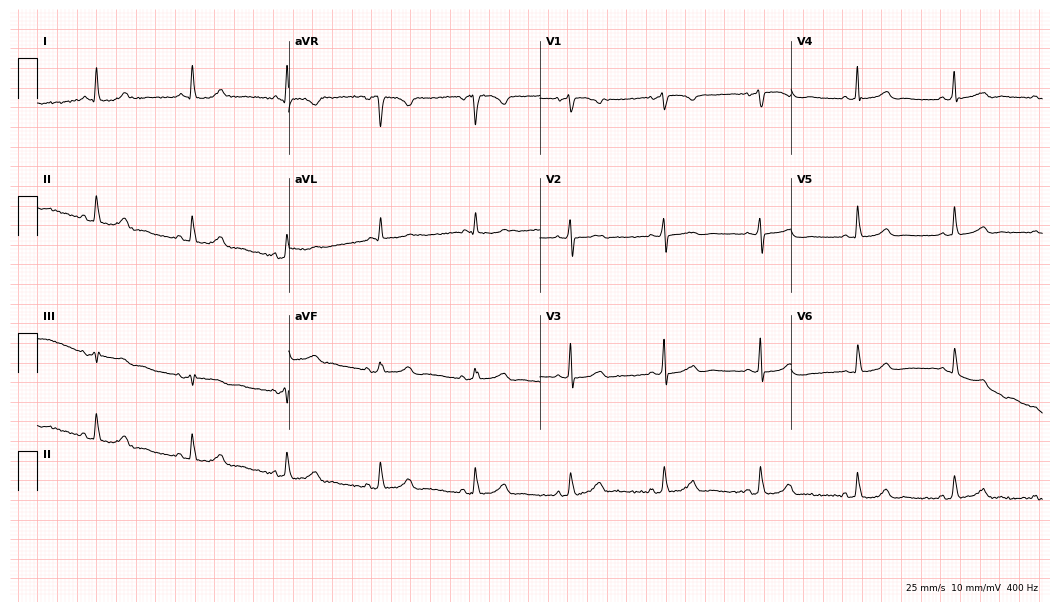
ECG (10.2-second recording at 400 Hz) — a 78-year-old woman. Screened for six findings — first-degree AV block, right bundle branch block, left bundle branch block, sinus bradycardia, atrial fibrillation, sinus tachycardia — none is recorded.